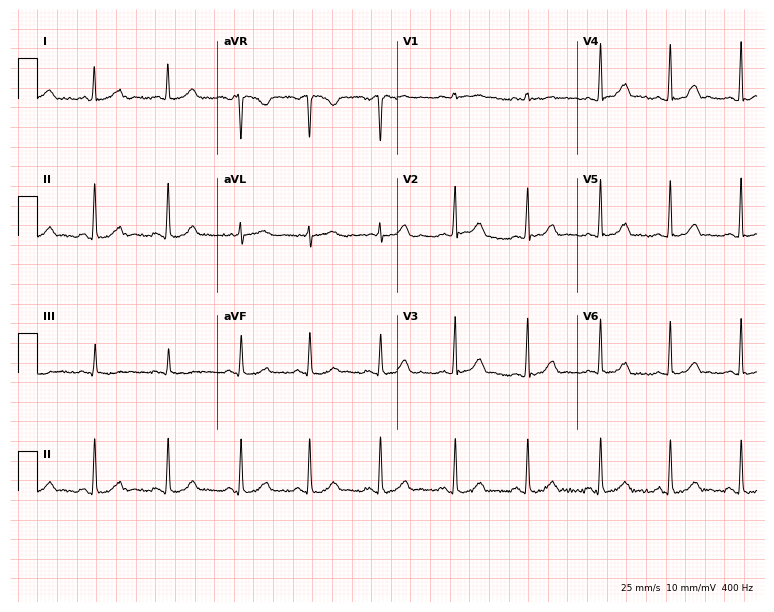
Standard 12-lead ECG recorded from a 30-year-old woman. Read as a normal ECG.